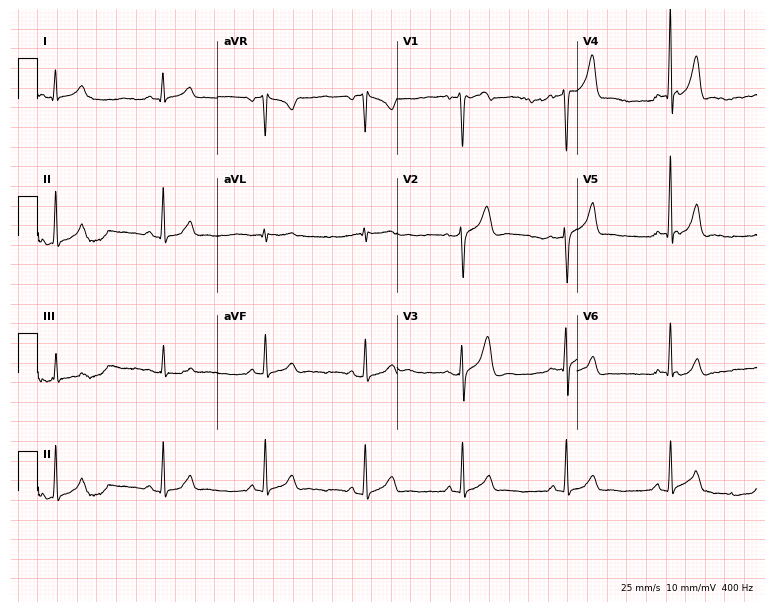
12-lead ECG (7.3-second recording at 400 Hz) from a 47-year-old male. Labelled as a normal ECG.